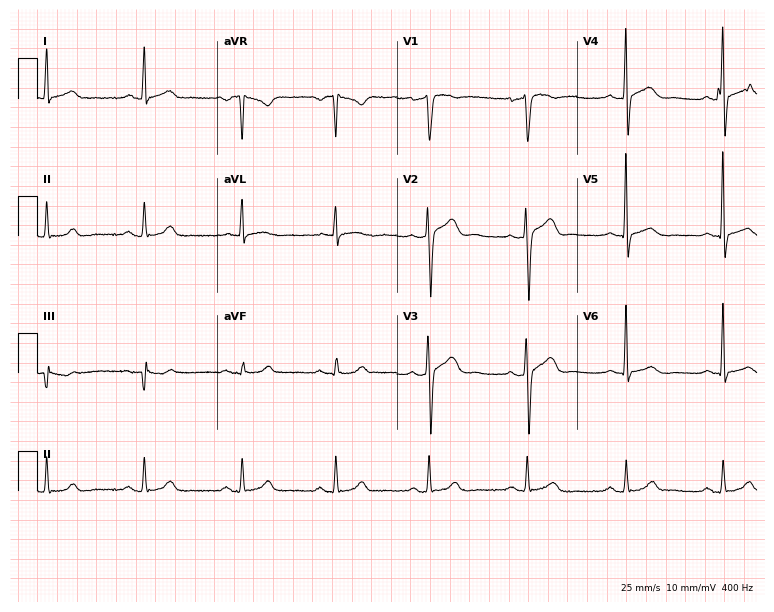
ECG — a 61-year-old male. Labelled as a normal ECG.